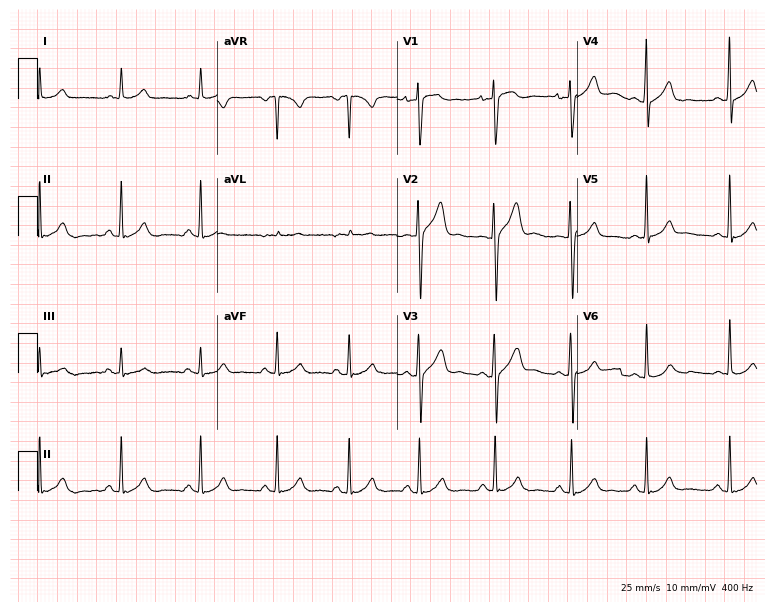
12-lead ECG (7.3-second recording at 400 Hz) from a 33-year-old male. Labelled as a normal ECG.